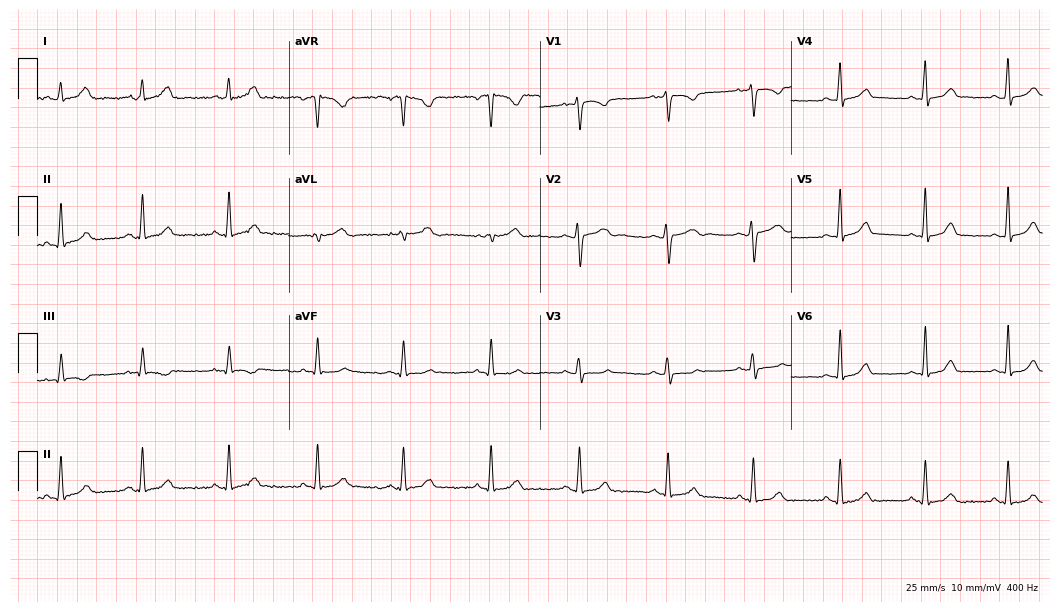
12-lead ECG (10.2-second recording at 400 Hz) from a 28-year-old woman. Labelled as a normal ECG.